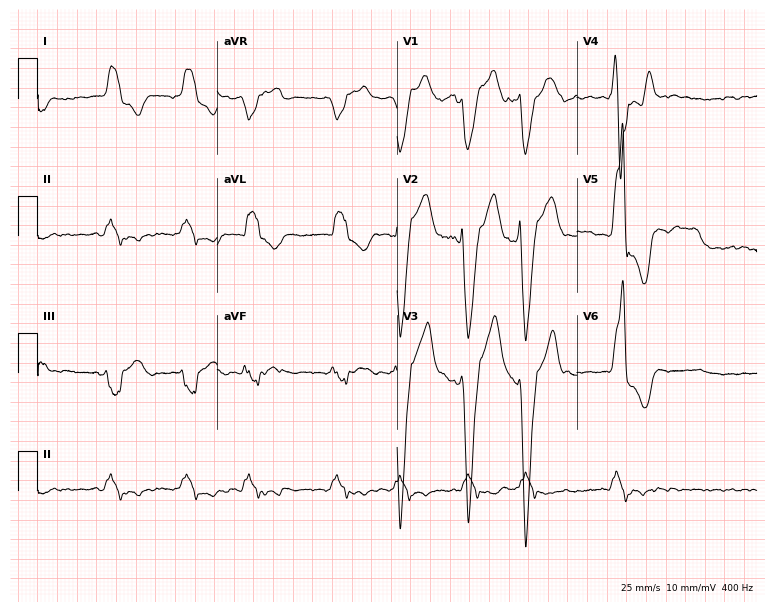
Electrocardiogram, a 49-year-old male. Interpretation includes left bundle branch block, atrial fibrillation.